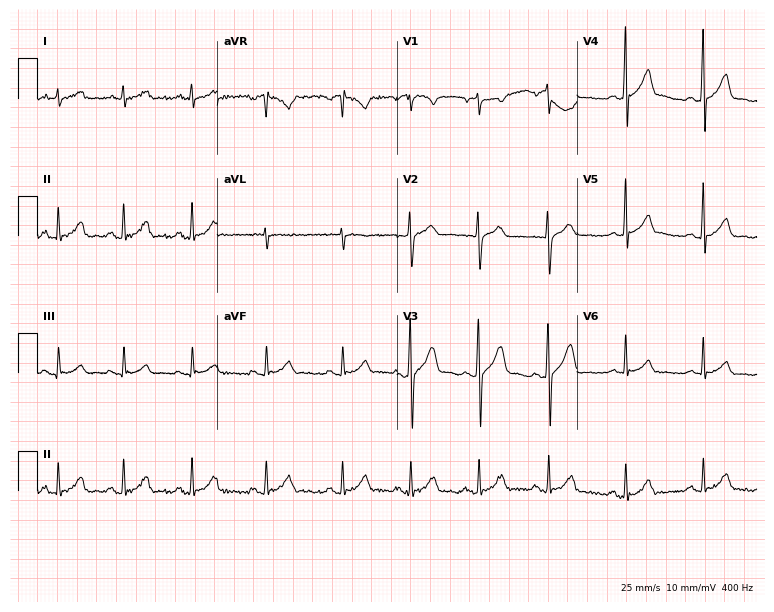
ECG (7.3-second recording at 400 Hz) — a male, 21 years old. Labelled as a normal ECG.